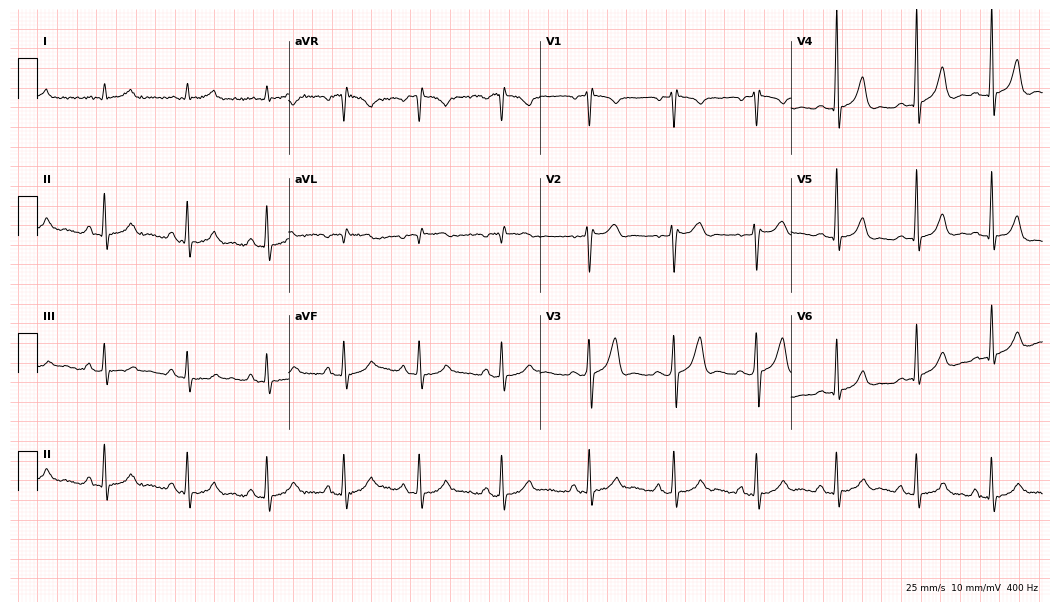
ECG (10.2-second recording at 400 Hz) — a male, 51 years old. Labelled as a normal ECG.